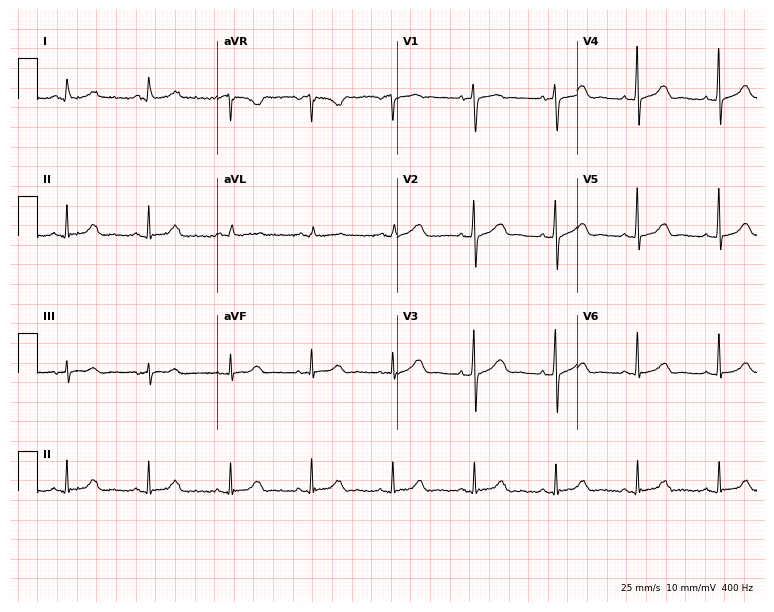
12-lead ECG from a female, 68 years old (7.3-second recording at 400 Hz). Recorded interpretation: within normal limits.